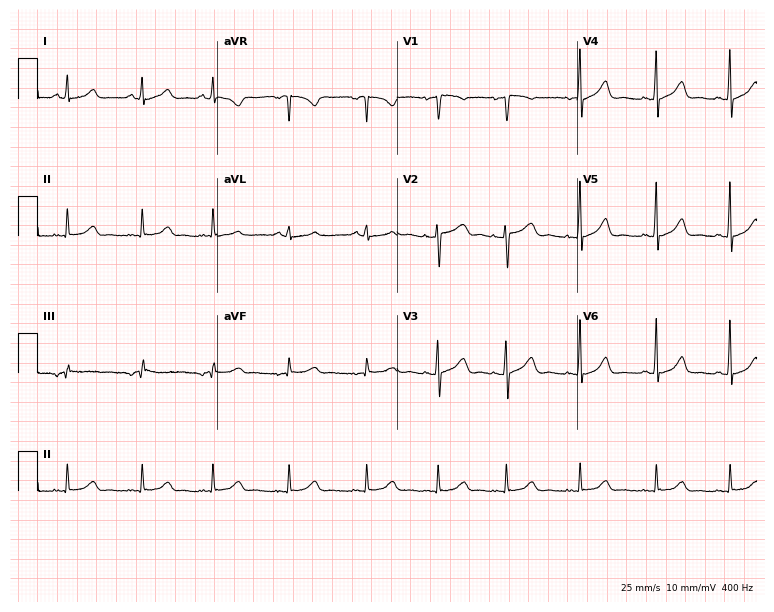
Standard 12-lead ECG recorded from a 27-year-old female patient (7.3-second recording at 400 Hz). None of these six findings is recorded: first-degree AV block, right bundle branch block, left bundle branch block, sinus bradycardia, atrial fibrillation, sinus tachycardia.